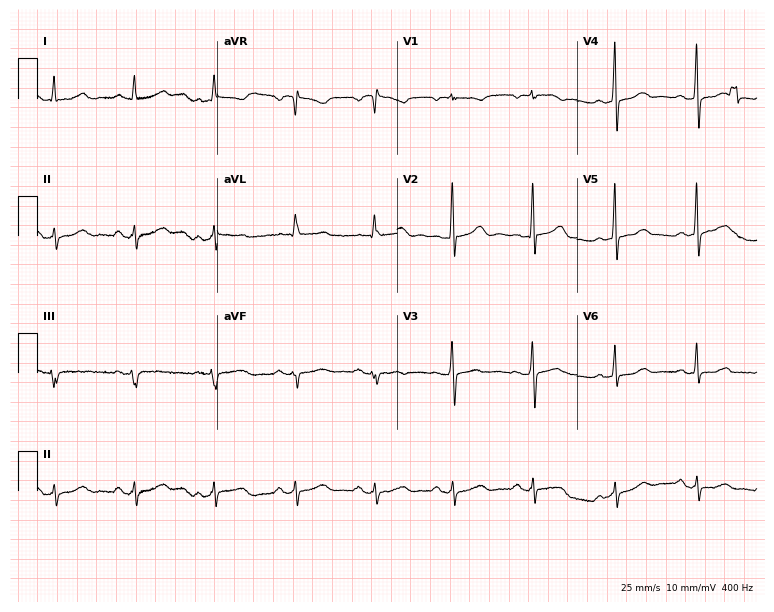
ECG — a woman, 61 years old. Labelled as a normal ECG.